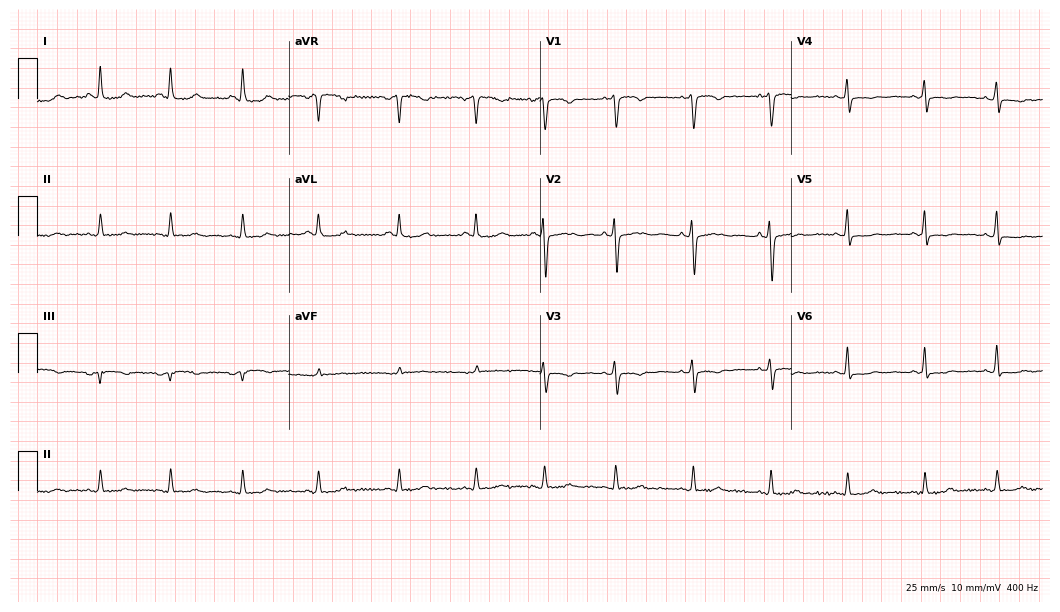
Resting 12-lead electrocardiogram (10.2-second recording at 400 Hz). Patient: a 62-year-old female. Read as a normal ECG.